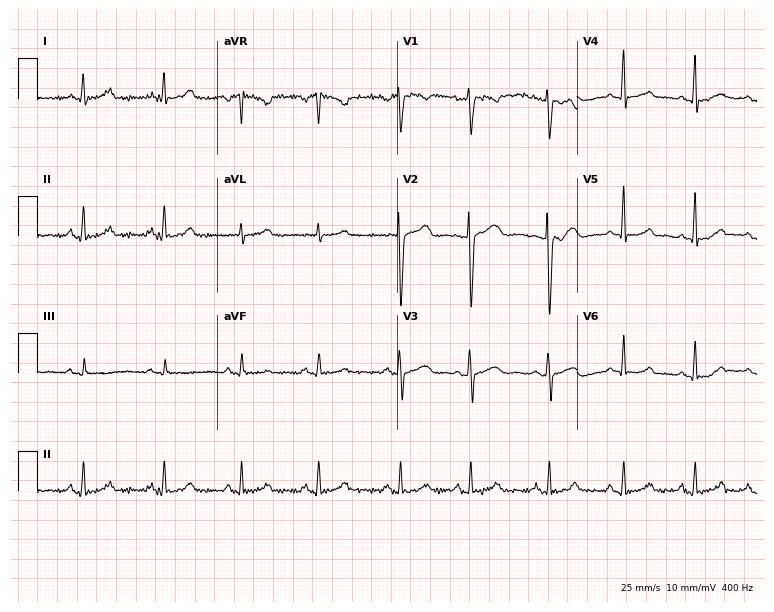
ECG (7.3-second recording at 400 Hz) — a 29-year-old female patient. Screened for six findings — first-degree AV block, right bundle branch block, left bundle branch block, sinus bradycardia, atrial fibrillation, sinus tachycardia — none is recorded. Only these six findings were labelled.